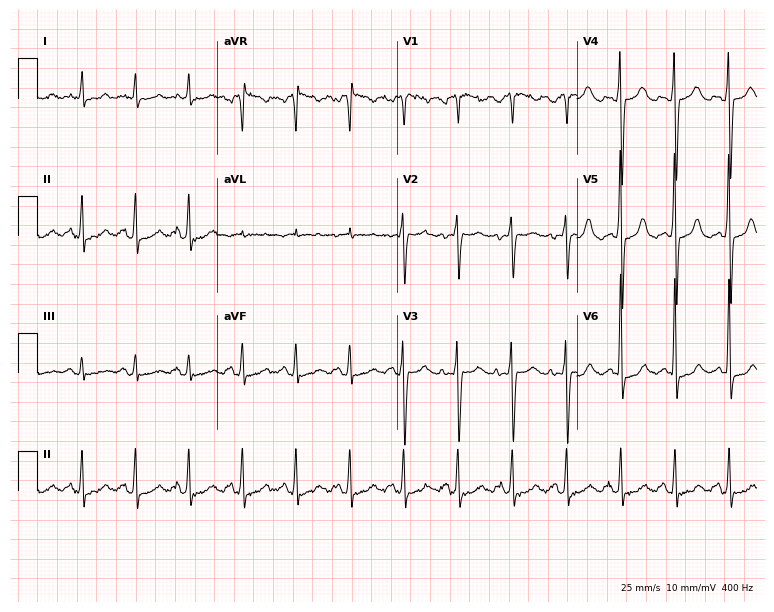
12-lead ECG from a female, 28 years old (7.3-second recording at 400 Hz). Shows sinus tachycardia (a sinus rate of 100 beats per minute or more).